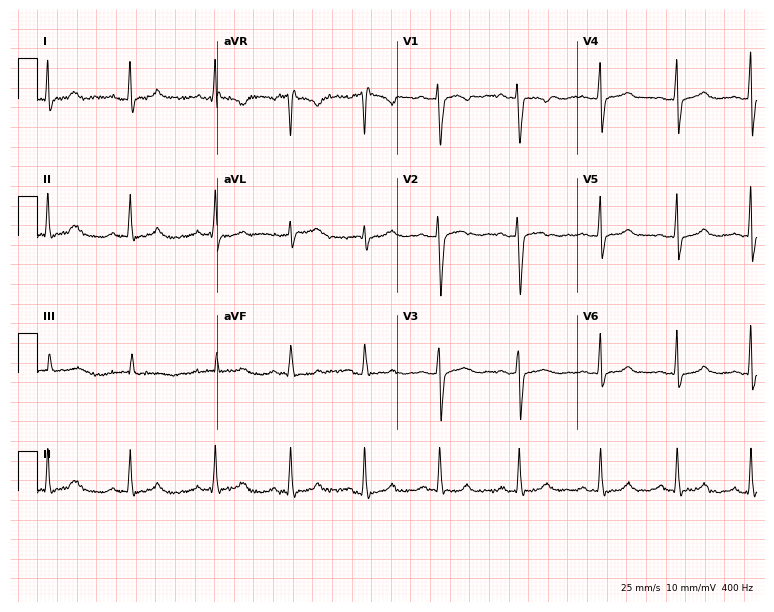
12-lead ECG (7.3-second recording at 400 Hz) from a woman, 26 years old. Labelled as a normal ECG.